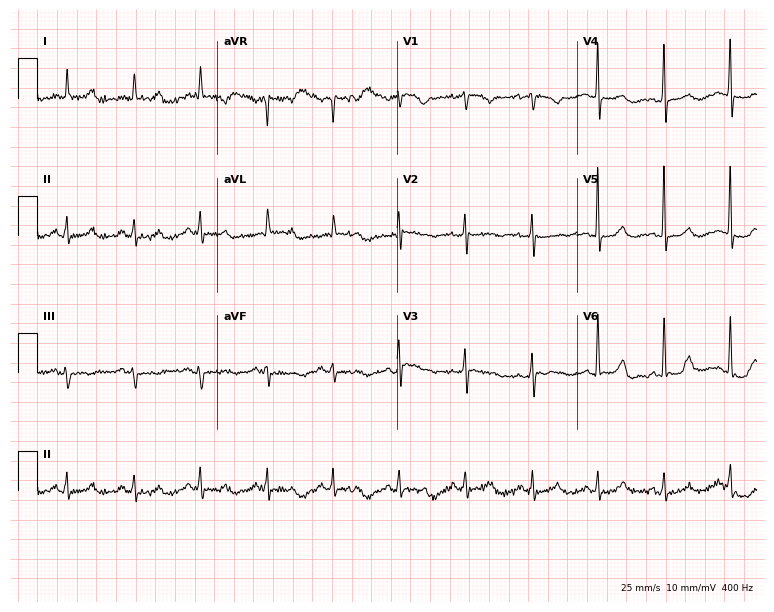
12-lead ECG (7.3-second recording at 400 Hz) from an 81-year-old female. Labelled as a normal ECG.